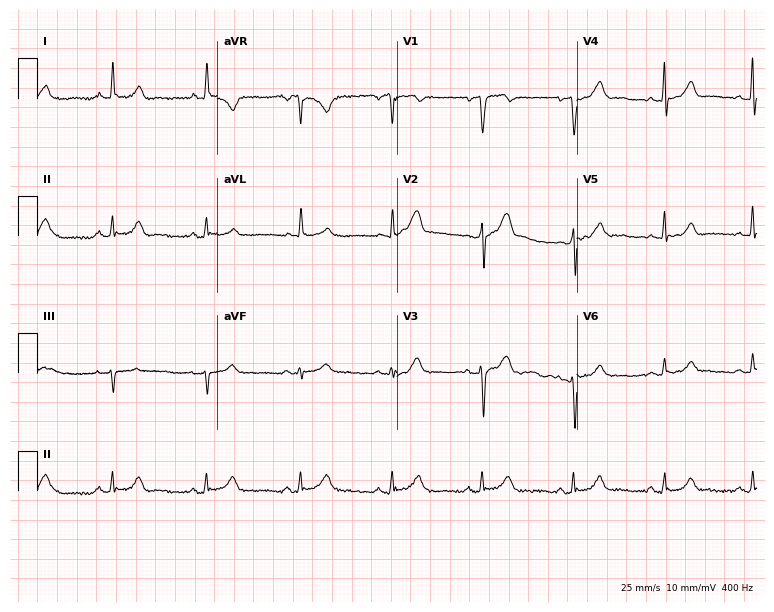
Resting 12-lead electrocardiogram (7.3-second recording at 400 Hz). Patient: a 54-year-old male. Read as a normal ECG.